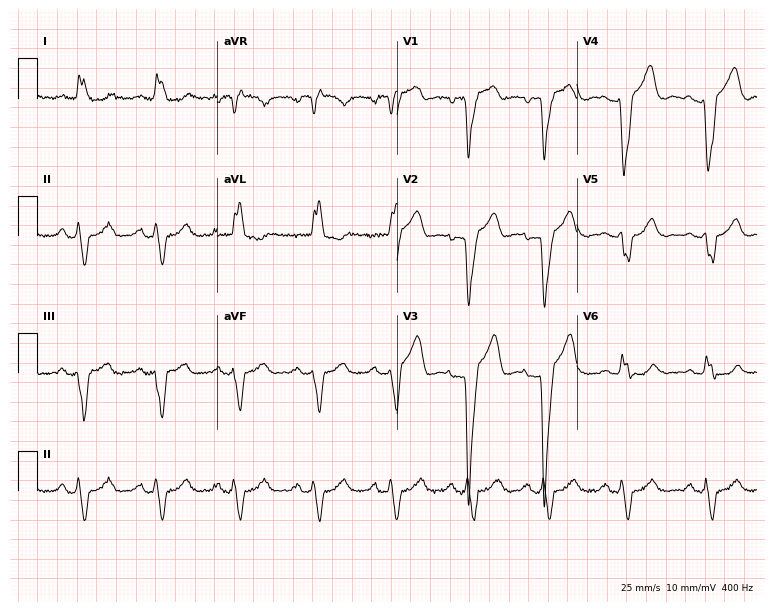
Standard 12-lead ECG recorded from a woman, 46 years old (7.3-second recording at 400 Hz). The tracing shows left bundle branch block.